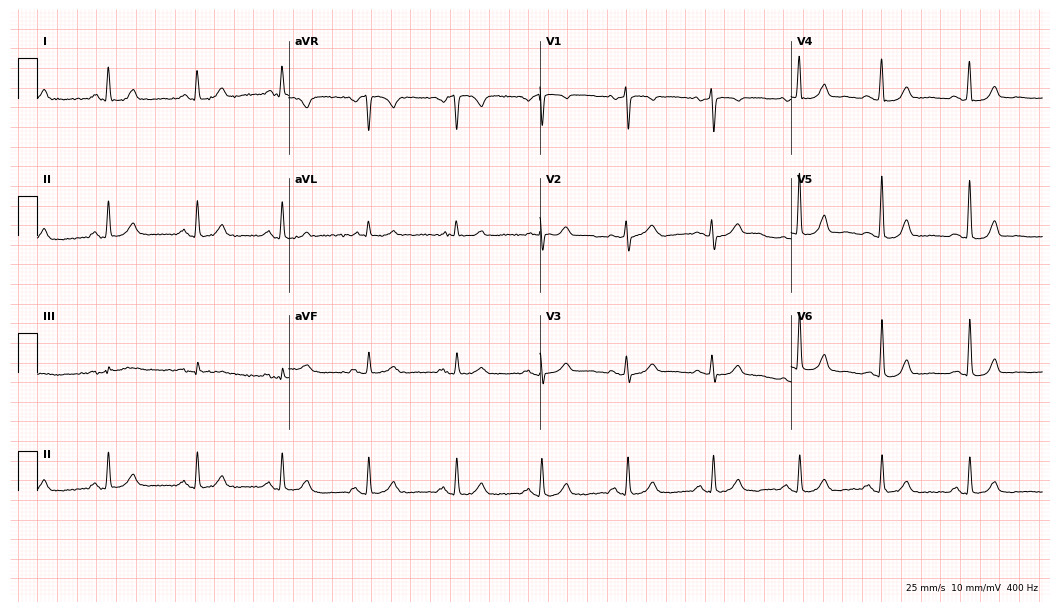
12-lead ECG from a 71-year-old female. Recorded interpretation: within normal limits.